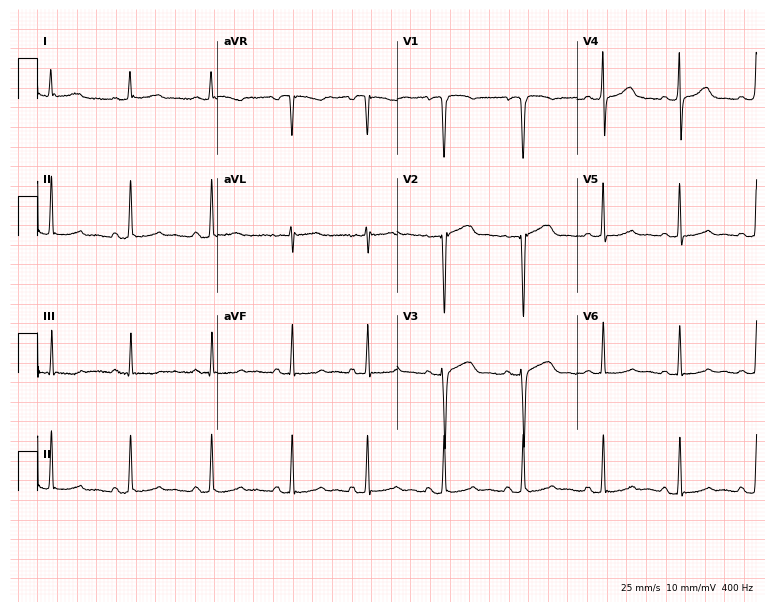
Standard 12-lead ECG recorded from a 30-year-old woman. None of these six findings is recorded: first-degree AV block, right bundle branch block (RBBB), left bundle branch block (LBBB), sinus bradycardia, atrial fibrillation (AF), sinus tachycardia.